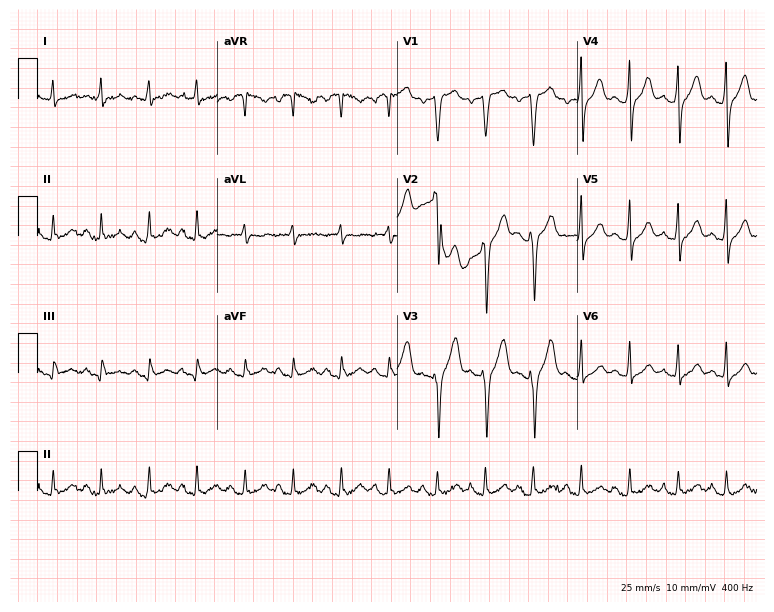
Standard 12-lead ECG recorded from a 55-year-old male patient (7.3-second recording at 400 Hz). None of these six findings is recorded: first-degree AV block, right bundle branch block (RBBB), left bundle branch block (LBBB), sinus bradycardia, atrial fibrillation (AF), sinus tachycardia. Other findings, if any, are not listed.